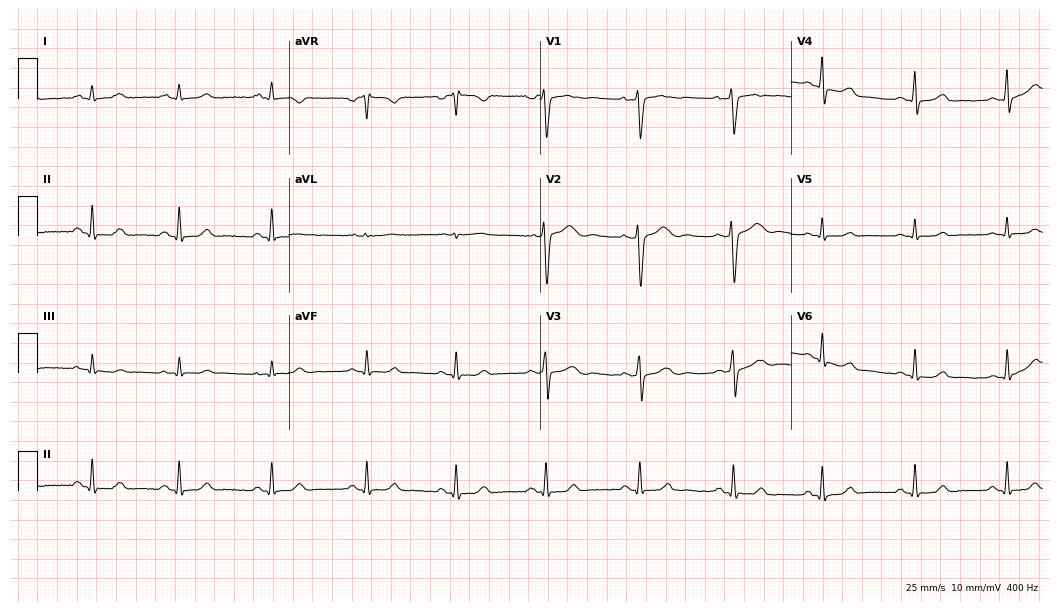
ECG — a 30-year-old female. Labelled as a normal ECG.